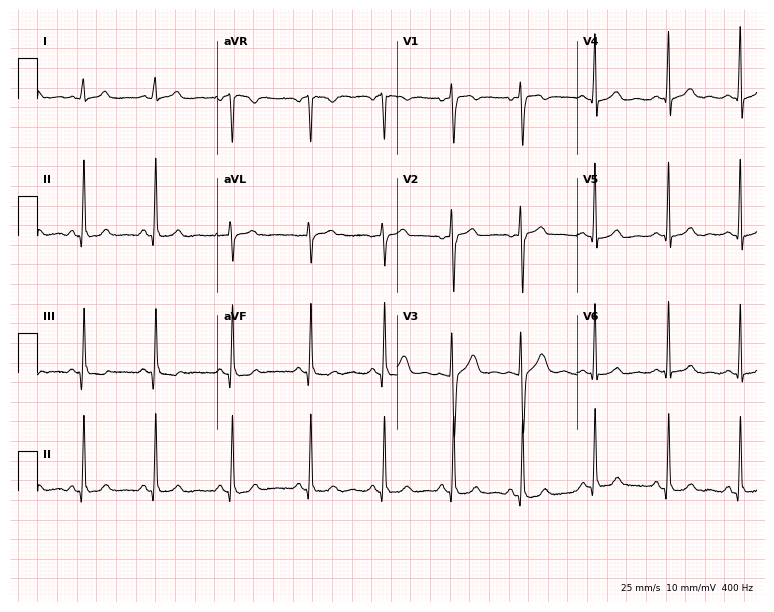
Electrocardiogram, a woman, 23 years old. Of the six screened findings (first-degree AV block, right bundle branch block, left bundle branch block, sinus bradycardia, atrial fibrillation, sinus tachycardia), none is recorded.